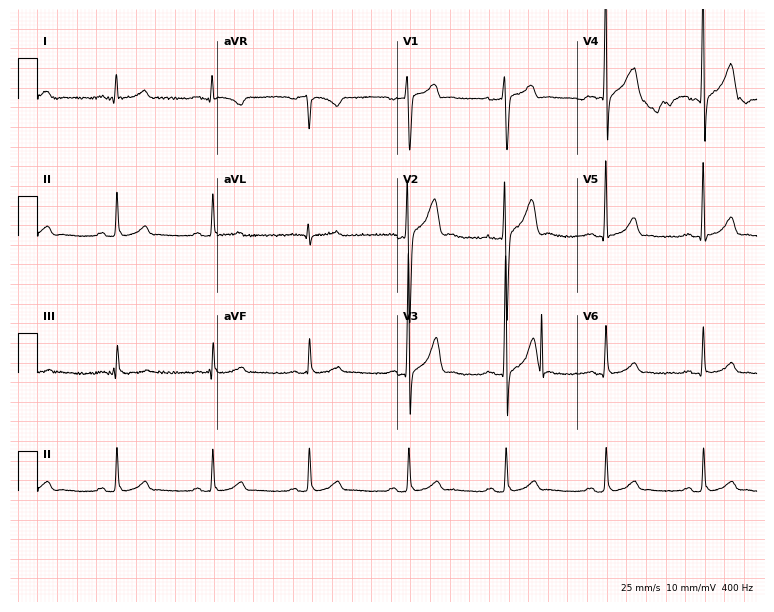
12-lead ECG (7.3-second recording at 400 Hz) from a male patient, 43 years old. Labelled as a normal ECG.